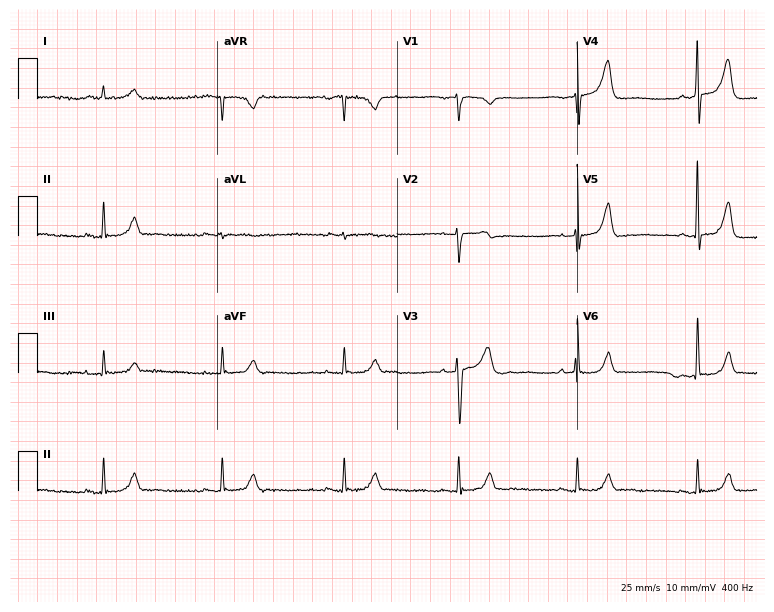
12-lead ECG (7.3-second recording at 400 Hz) from a 63-year-old male. Findings include sinus bradycardia (a sinus rate of 50 beats per minute or less).